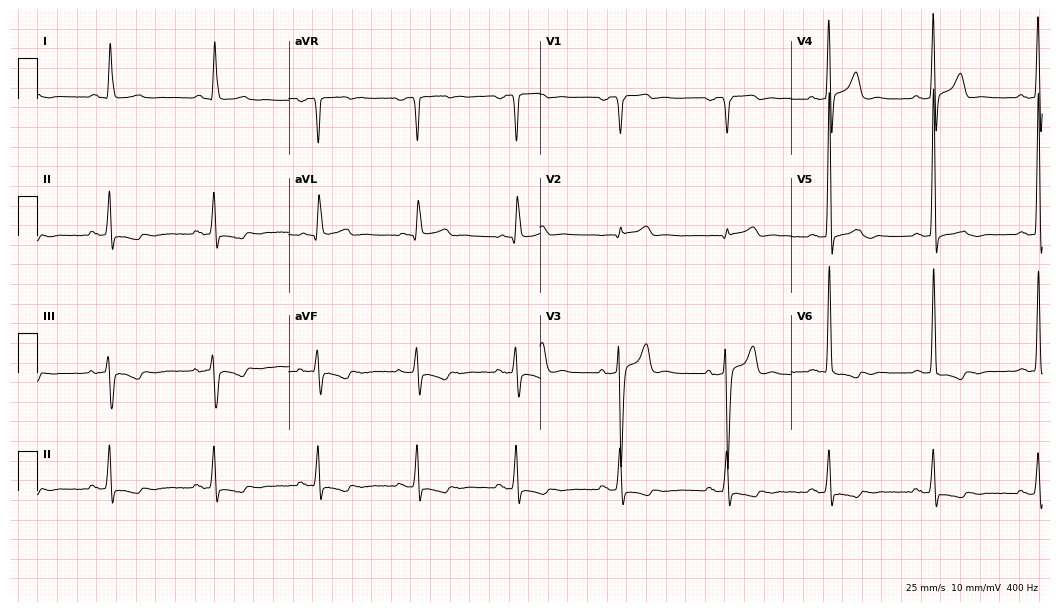
Resting 12-lead electrocardiogram. Patient: a 49-year-old male. None of these six findings is recorded: first-degree AV block, right bundle branch block, left bundle branch block, sinus bradycardia, atrial fibrillation, sinus tachycardia. Findings outside these six are not listed.